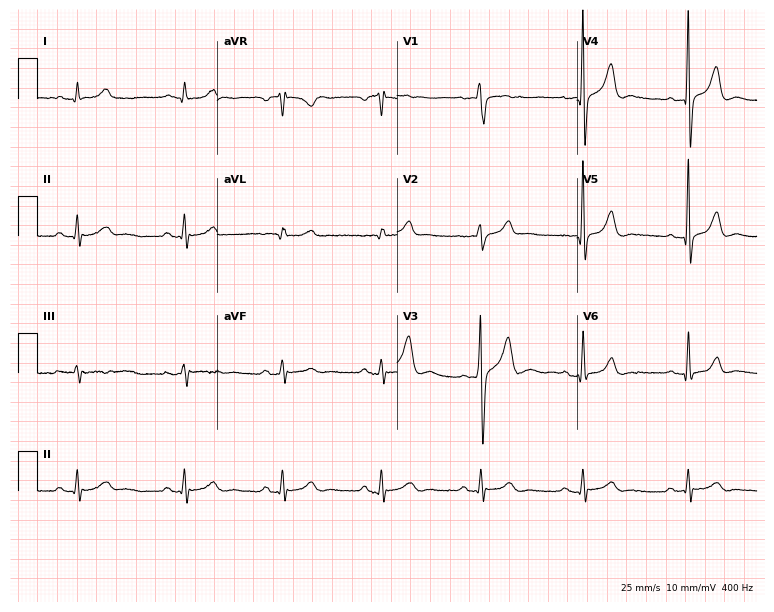
Standard 12-lead ECG recorded from a 48-year-old male patient (7.3-second recording at 400 Hz). Read as a normal ECG.